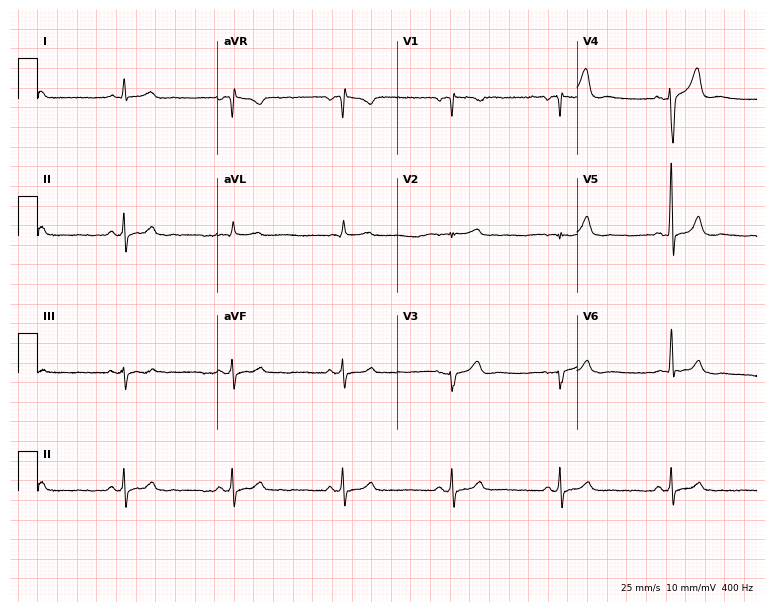
12-lead ECG from a man, 59 years old. No first-degree AV block, right bundle branch block (RBBB), left bundle branch block (LBBB), sinus bradycardia, atrial fibrillation (AF) or sinus tachycardia recorded for this tracing.